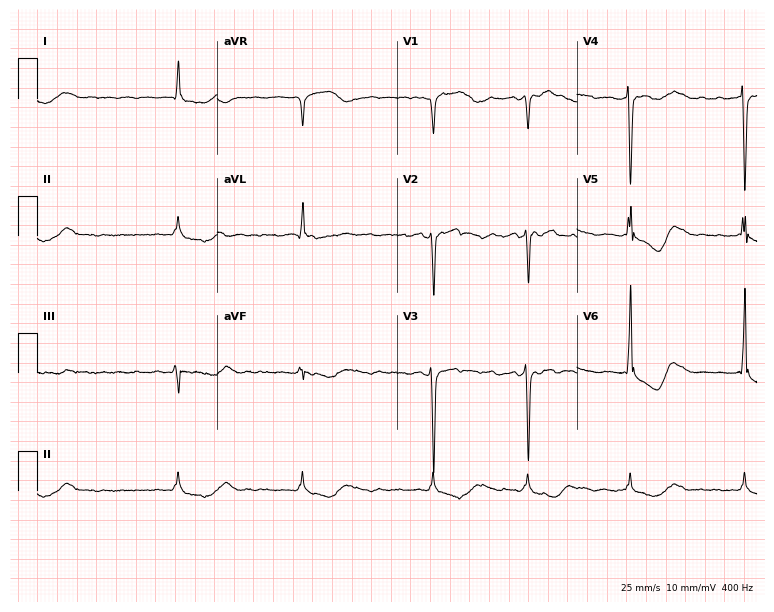
Resting 12-lead electrocardiogram. Patient: a 67-year-old woman. The tracing shows atrial fibrillation (AF).